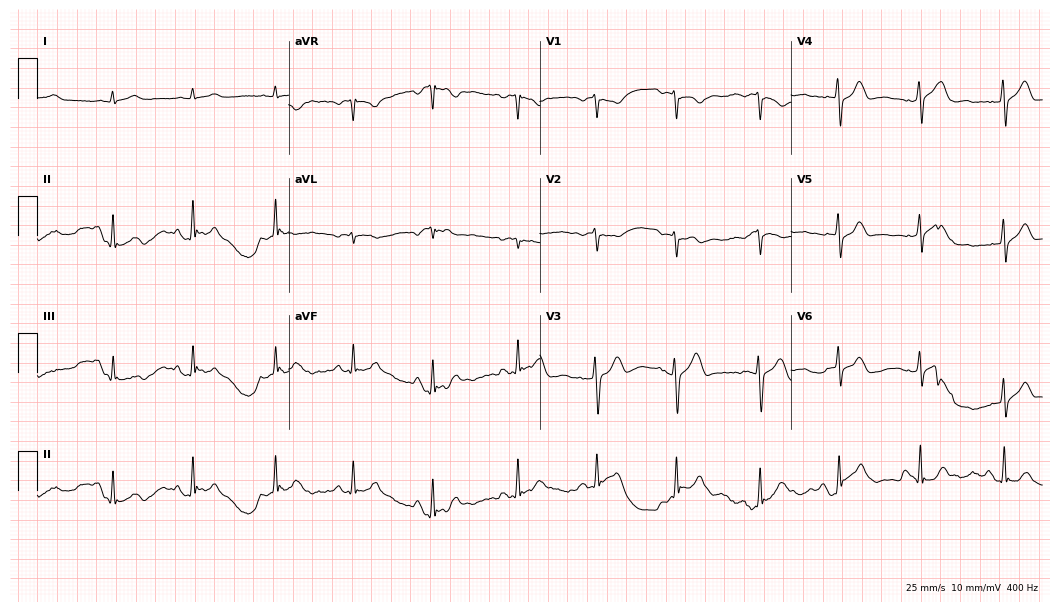
12-lead ECG (10.2-second recording at 400 Hz) from a 74-year-old male. Labelled as a normal ECG.